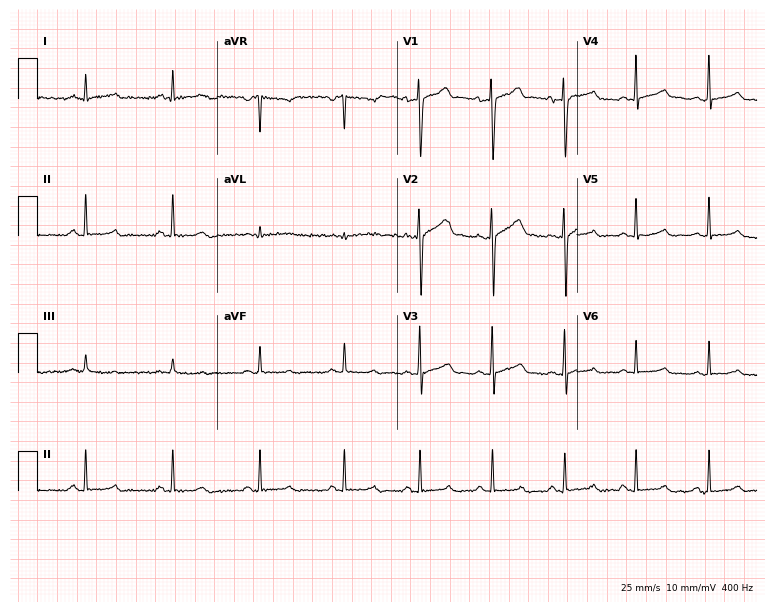
Resting 12-lead electrocardiogram. Patient: a 40-year-old male. None of these six findings is recorded: first-degree AV block, right bundle branch block, left bundle branch block, sinus bradycardia, atrial fibrillation, sinus tachycardia. Other findings, if any, are not listed.